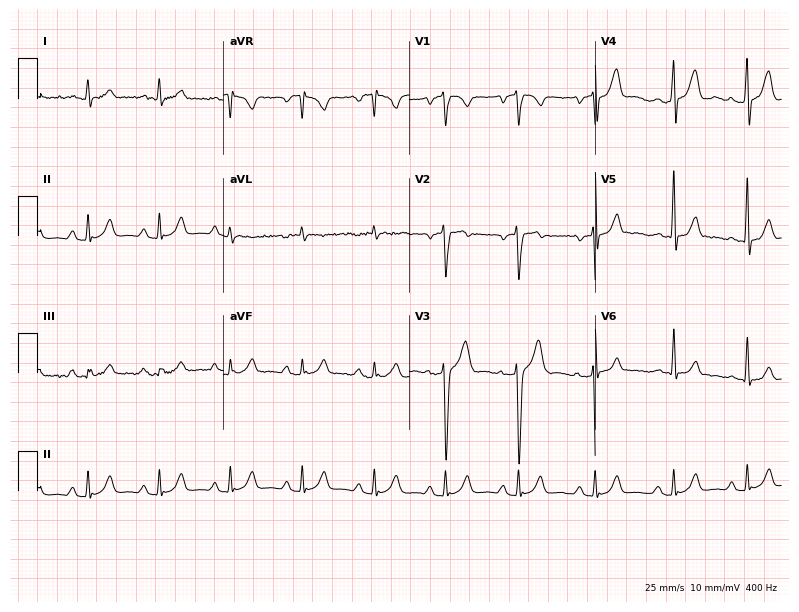
Resting 12-lead electrocardiogram (7.6-second recording at 400 Hz). Patient: a 26-year-old male. Read as a normal ECG.